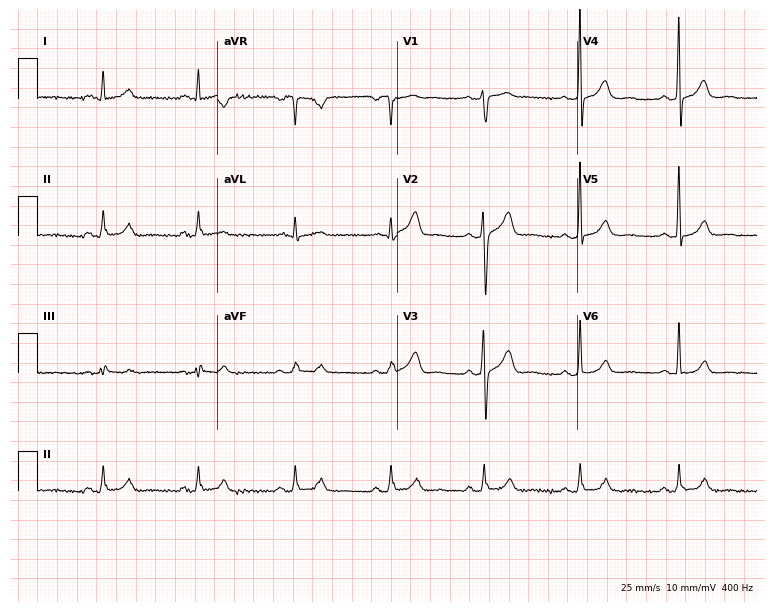
ECG — a male patient, 55 years old. Screened for six findings — first-degree AV block, right bundle branch block, left bundle branch block, sinus bradycardia, atrial fibrillation, sinus tachycardia — none is recorded.